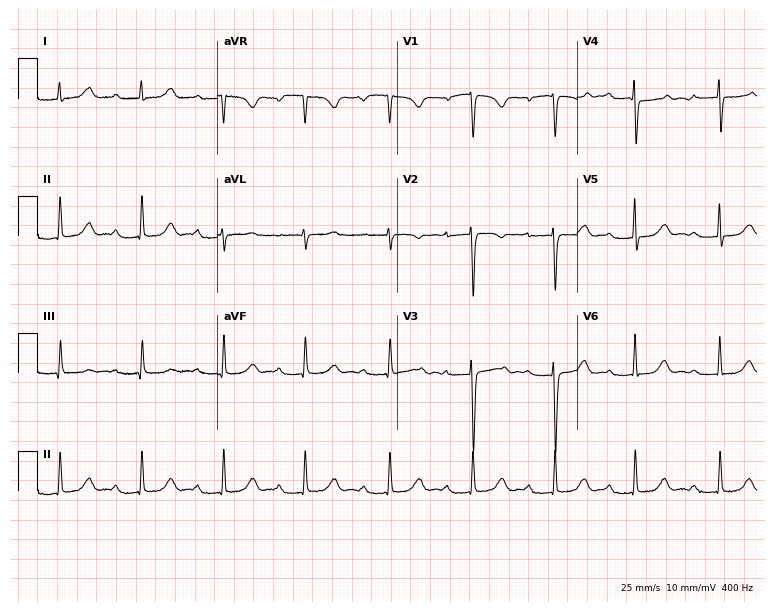
Standard 12-lead ECG recorded from a 34-year-old woman. None of these six findings is recorded: first-degree AV block, right bundle branch block, left bundle branch block, sinus bradycardia, atrial fibrillation, sinus tachycardia.